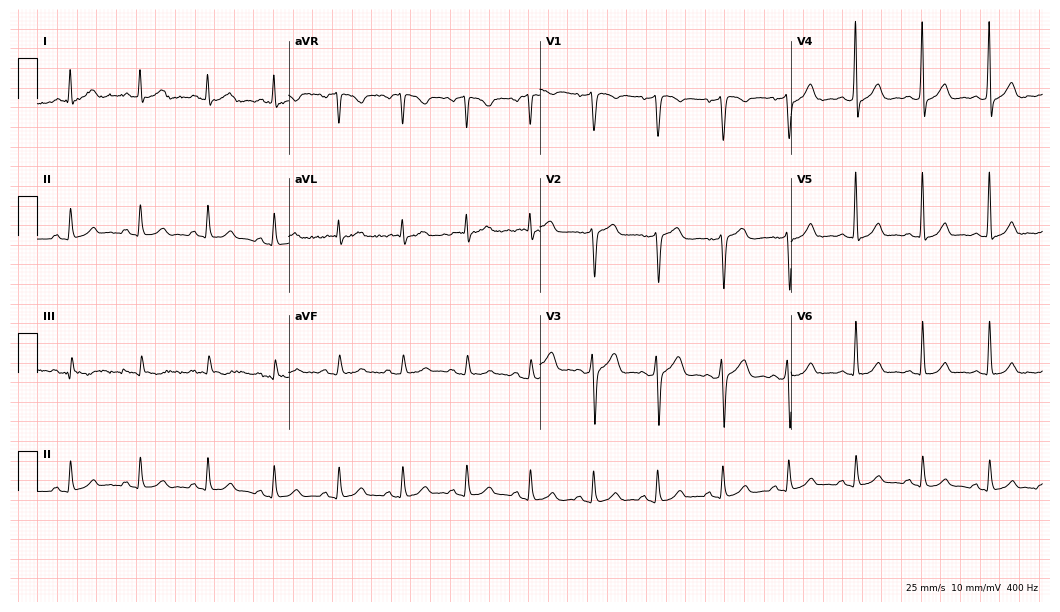
Resting 12-lead electrocardiogram. Patient: a 46-year-old man. None of these six findings is recorded: first-degree AV block, right bundle branch block, left bundle branch block, sinus bradycardia, atrial fibrillation, sinus tachycardia. Only these six findings were labelled.